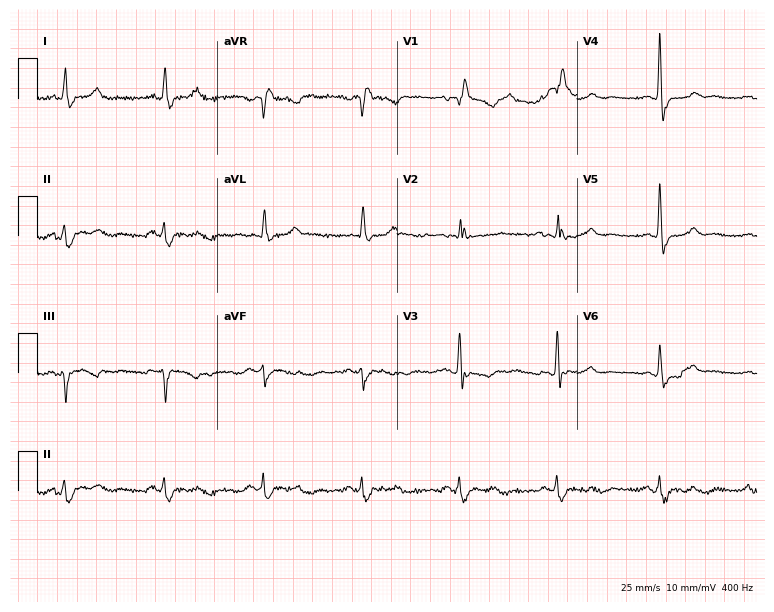
Standard 12-lead ECG recorded from a 78-year-old female patient. The tracing shows right bundle branch block.